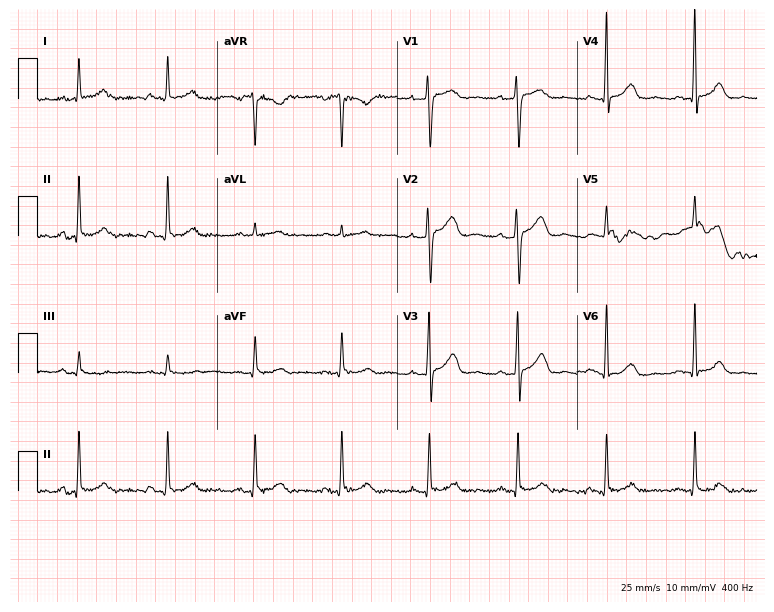
Resting 12-lead electrocardiogram (7.3-second recording at 400 Hz). Patient: a 59-year-old woman. None of these six findings is recorded: first-degree AV block, right bundle branch block, left bundle branch block, sinus bradycardia, atrial fibrillation, sinus tachycardia. Findings outside these six are not listed.